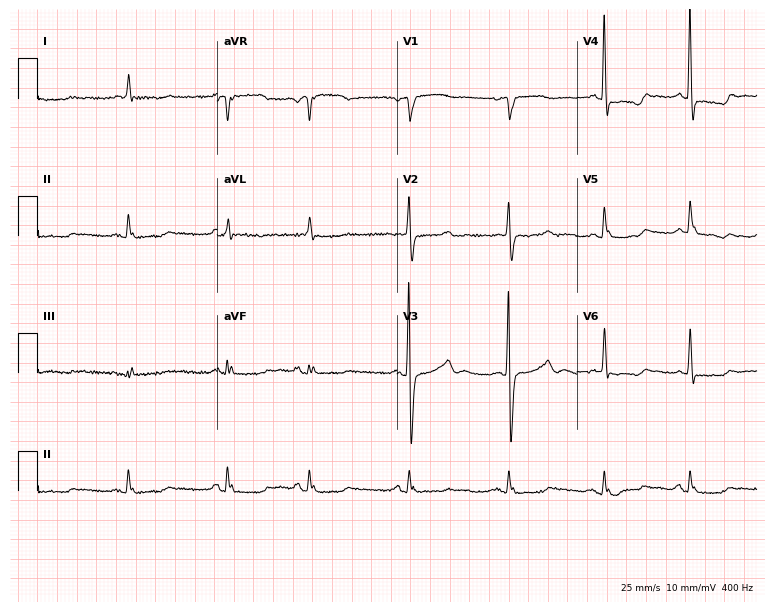
12-lead ECG from an 82-year-old female. Screened for six findings — first-degree AV block, right bundle branch block, left bundle branch block, sinus bradycardia, atrial fibrillation, sinus tachycardia — none is recorded.